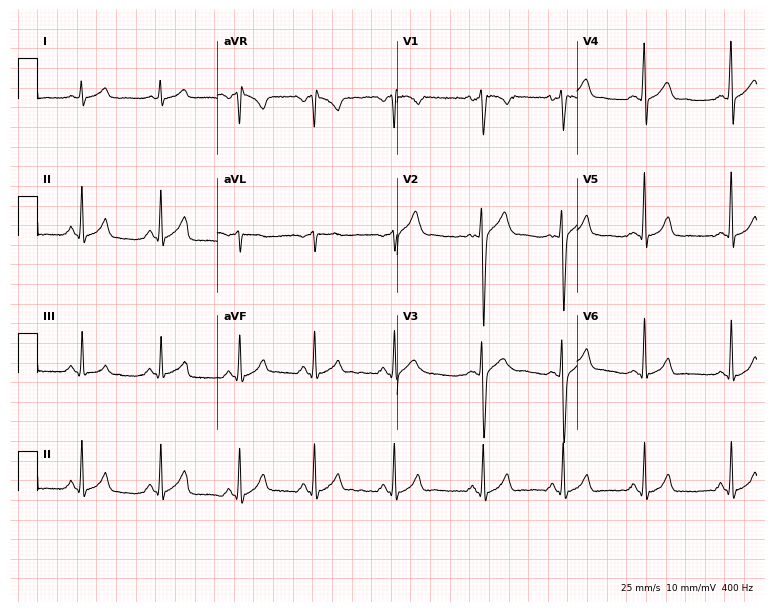
Resting 12-lead electrocardiogram (7.3-second recording at 400 Hz). Patient: a man, 17 years old. Read as a normal ECG.